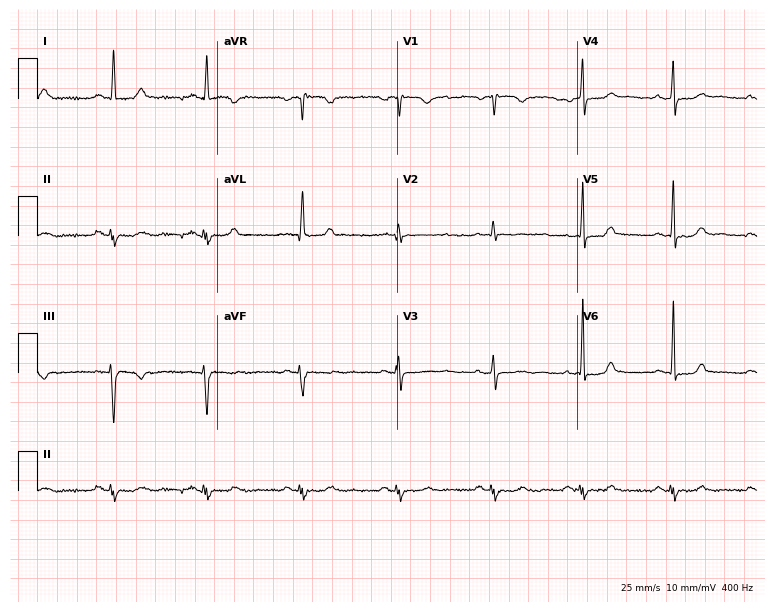
Electrocardiogram, a woman, 67 years old. Of the six screened findings (first-degree AV block, right bundle branch block, left bundle branch block, sinus bradycardia, atrial fibrillation, sinus tachycardia), none is recorded.